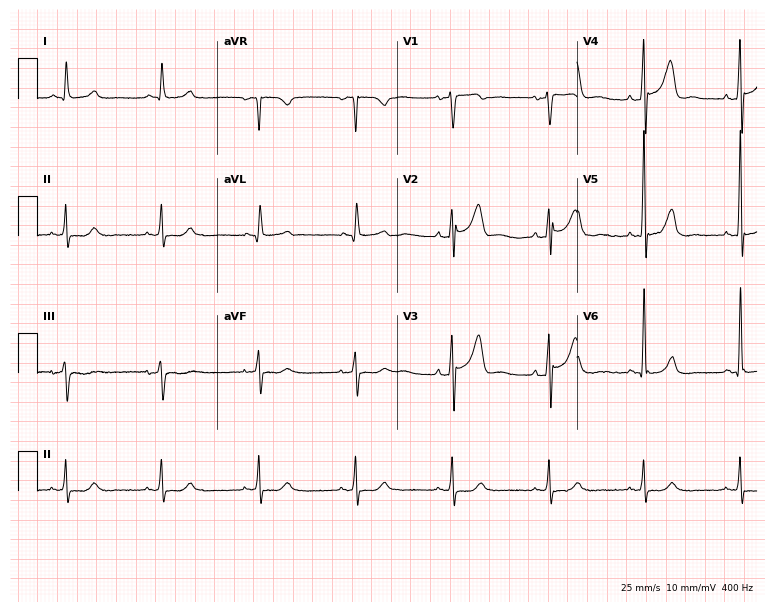
Standard 12-lead ECG recorded from a 61-year-old male (7.3-second recording at 400 Hz). Read as a normal ECG.